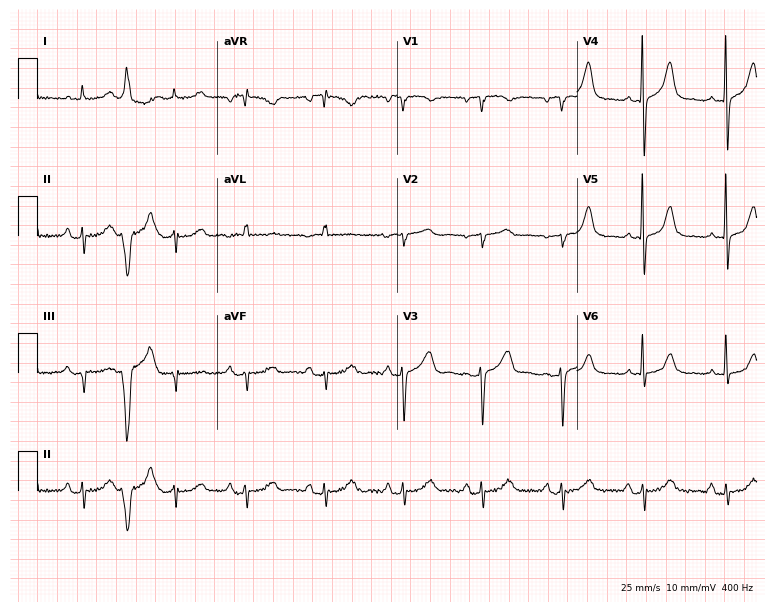
12-lead ECG from a 72-year-old female patient. No first-degree AV block, right bundle branch block, left bundle branch block, sinus bradycardia, atrial fibrillation or sinus tachycardia recorded for this tracing. Findings outside these six are not listed.